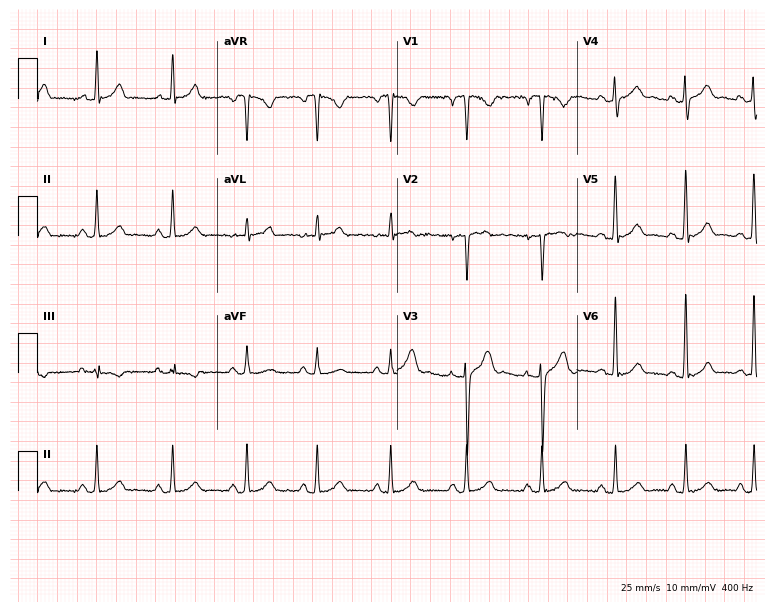
Electrocardiogram (7.3-second recording at 400 Hz), a 21-year-old male. Of the six screened findings (first-degree AV block, right bundle branch block (RBBB), left bundle branch block (LBBB), sinus bradycardia, atrial fibrillation (AF), sinus tachycardia), none is recorded. Other findings, if any, are not listed.